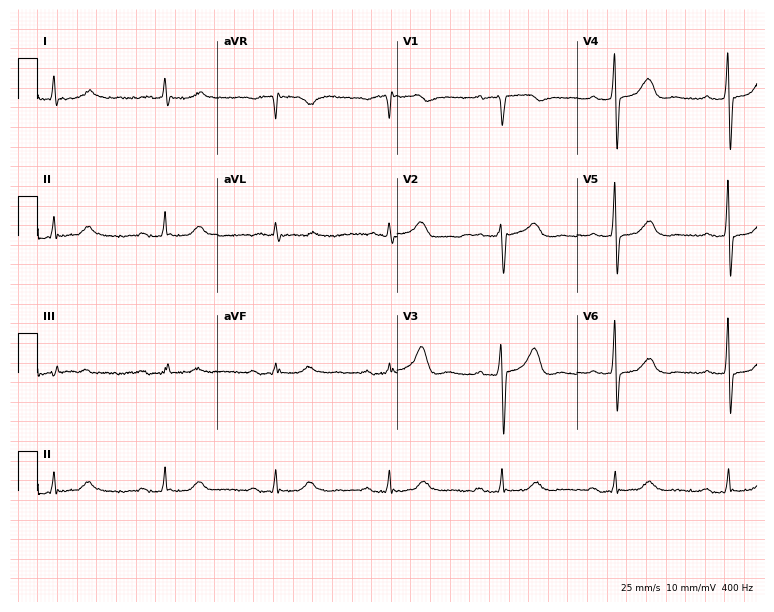
12-lead ECG from a man, 74 years old. Screened for six findings — first-degree AV block, right bundle branch block, left bundle branch block, sinus bradycardia, atrial fibrillation, sinus tachycardia — none is recorded. Only these six findings were labelled.